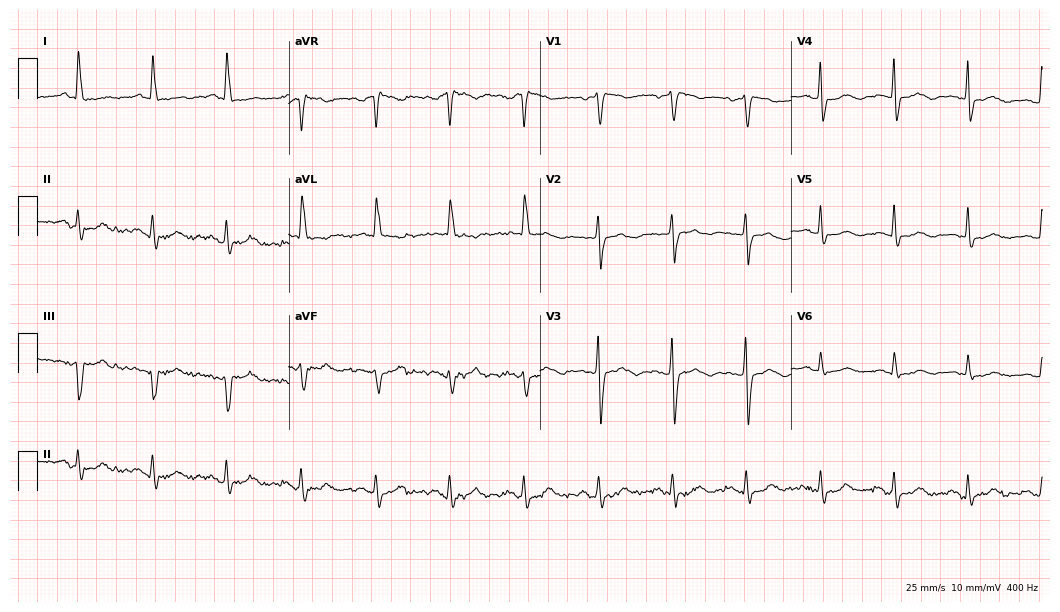
12-lead ECG from a 71-year-old woman. No first-degree AV block, right bundle branch block, left bundle branch block, sinus bradycardia, atrial fibrillation or sinus tachycardia recorded for this tracing.